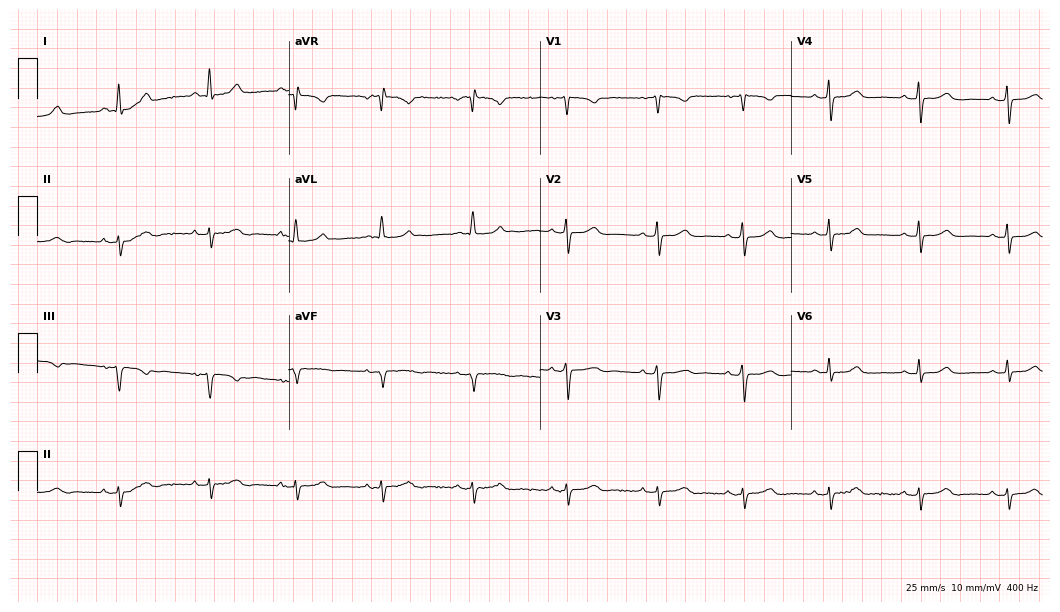
Resting 12-lead electrocardiogram (10.2-second recording at 400 Hz). Patient: a female, 56 years old. Read as a normal ECG.